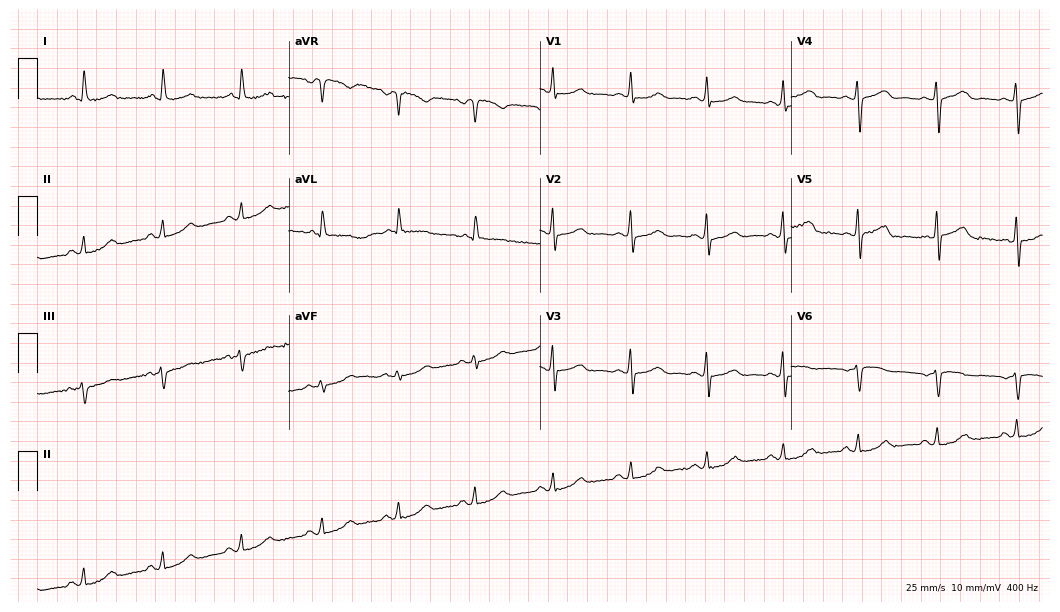
ECG (10.2-second recording at 400 Hz) — a woman, 79 years old. Screened for six findings — first-degree AV block, right bundle branch block (RBBB), left bundle branch block (LBBB), sinus bradycardia, atrial fibrillation (AF), sinus tachycardia — none is recorded. Findings outside these six are not listed.